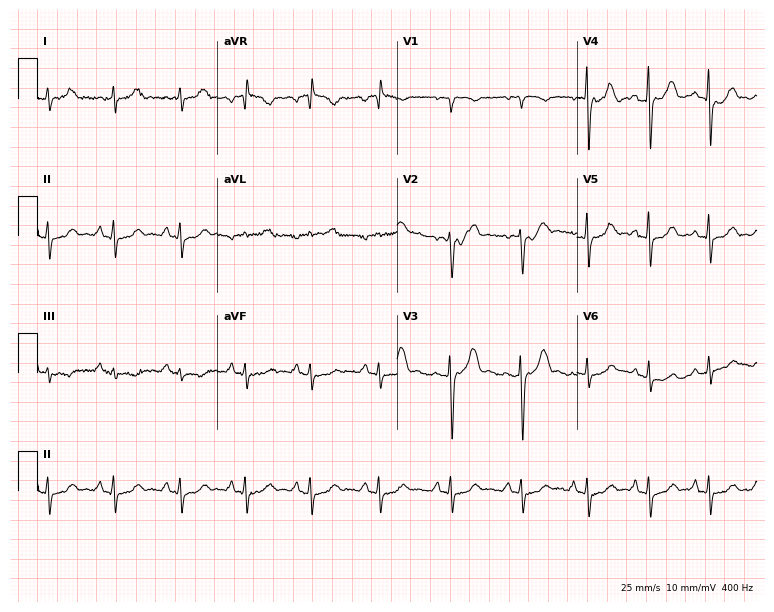
Resting 12-lead electrocardiogram (7.3-second recording at 400 Hz). Patient: a female, 35 years old. None of these six findings is recorded: first-degree AV block, right bundle branch block, left bundle branch block, sinus bradycardia, atrial fibrillation, sinus tachycardia.